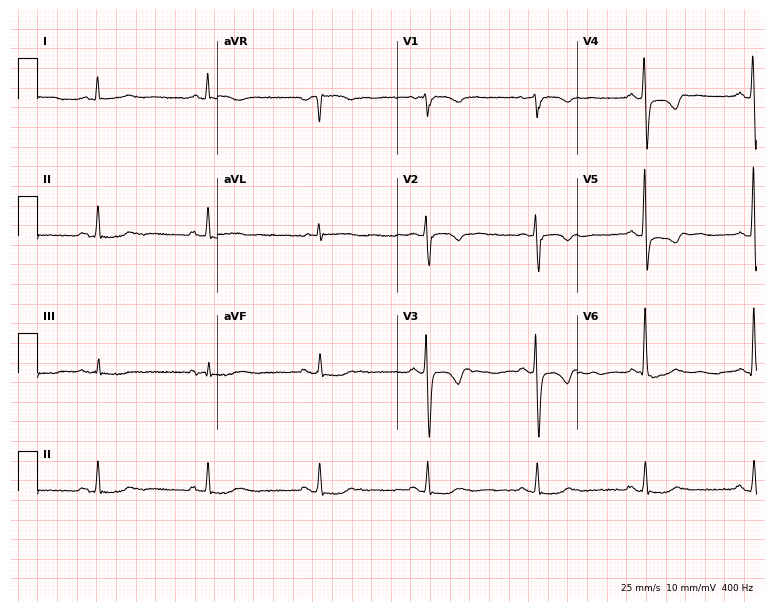
Resting 12-lead electrocardiogram. Patient: a man, 63 years old. None of these six findings is recorded: first-degree AV block, right bundle branch block, left bundle branch block, sinus bradycardia, atrial fibrillation, sinus tachycardia. Only these six findings were labelled.